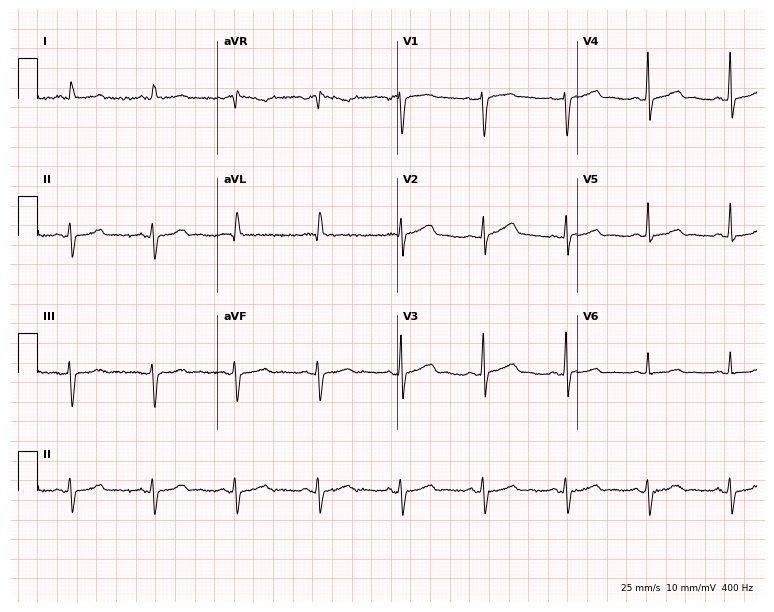
12-lead ECG from a male patient, 77 years old. No first-degree AV block, right bundle branch block, left bundle branch block, sinus bradycardia, atrial fibrillation or sinus tachycardia recorded for this tracing.